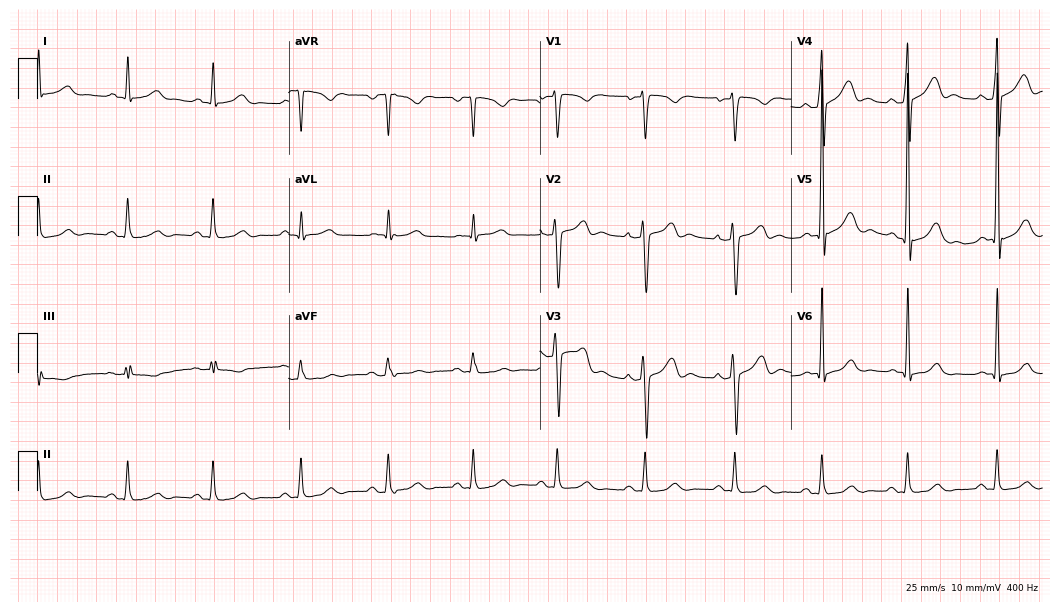
Electrocardiogram, a male patient, 43 years old. Of the six screened findings (first-degree AV block, right bundle branch block, left bundle branch block, sinus bradycardia, atrial fibrillation, sinus tachycardia), none is recorded. Other findings, if any, are not listed.